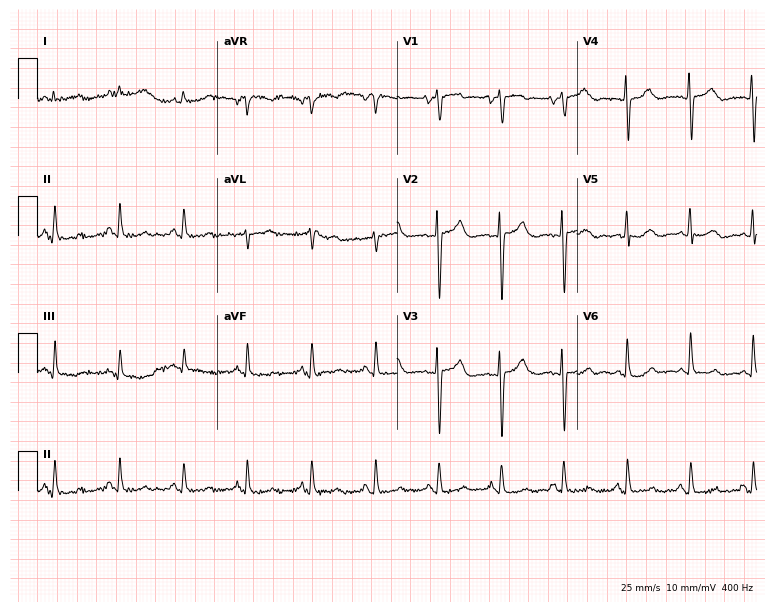
ECG (7.3-second recording at 400 Hz) — a 63-year-old male. Screened for six findings — first-degree AV block, right bundle branch block (RBBB), left bundle branch block (LBBB), sinus bradycardia, atrial fibrillation (AF), sinus tachycardia — none is recorded. Findings outside these six are not listed.